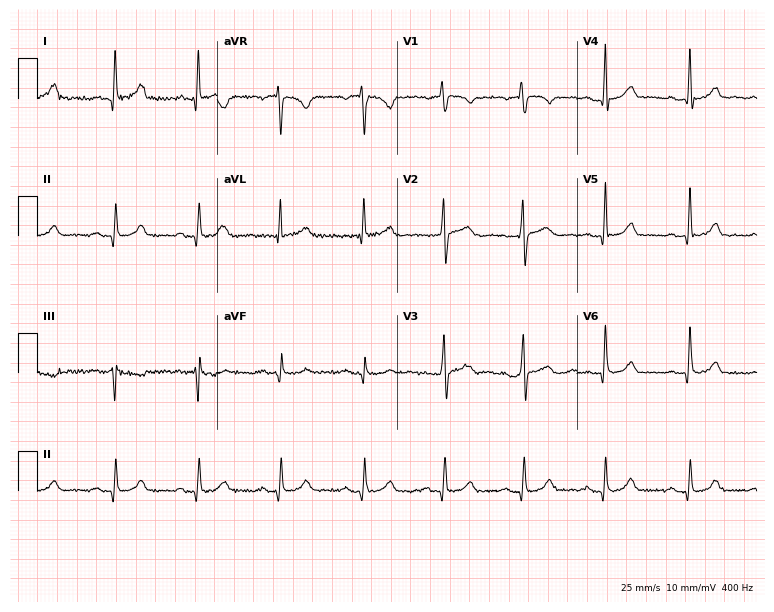
Electrocardiogram (7.3-second recording at 400 Hz), a 42-year-old man. Overall reading on record: normal ECG.